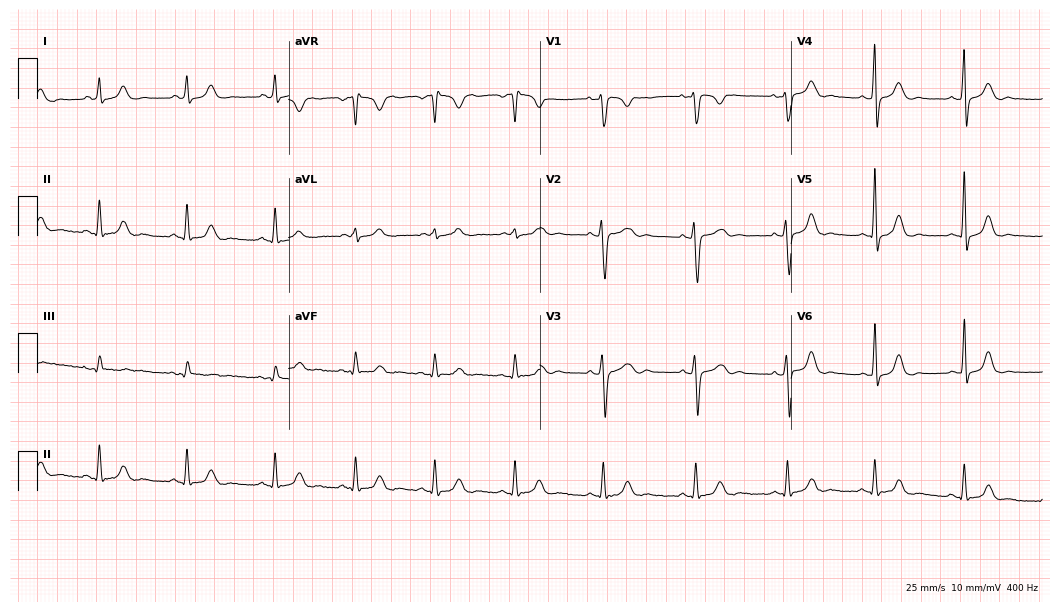
Standard 12-lead ECG recorded from a 26-year-old woman. Read as a normal ECG.